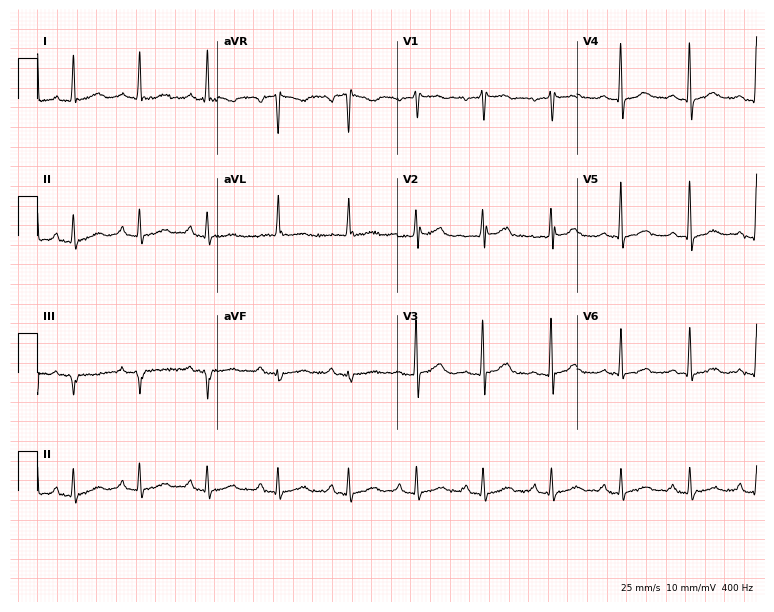
Standard 12-lead ECG recorded from a female patient, 60 years old (7.3-second recording at 400 Hz). None of these six findings is recorded: first-degree AV block, right bundle branch block, left bundle branch block, sinus bradycardia, atrial fibrillation, sinus tachycardia.